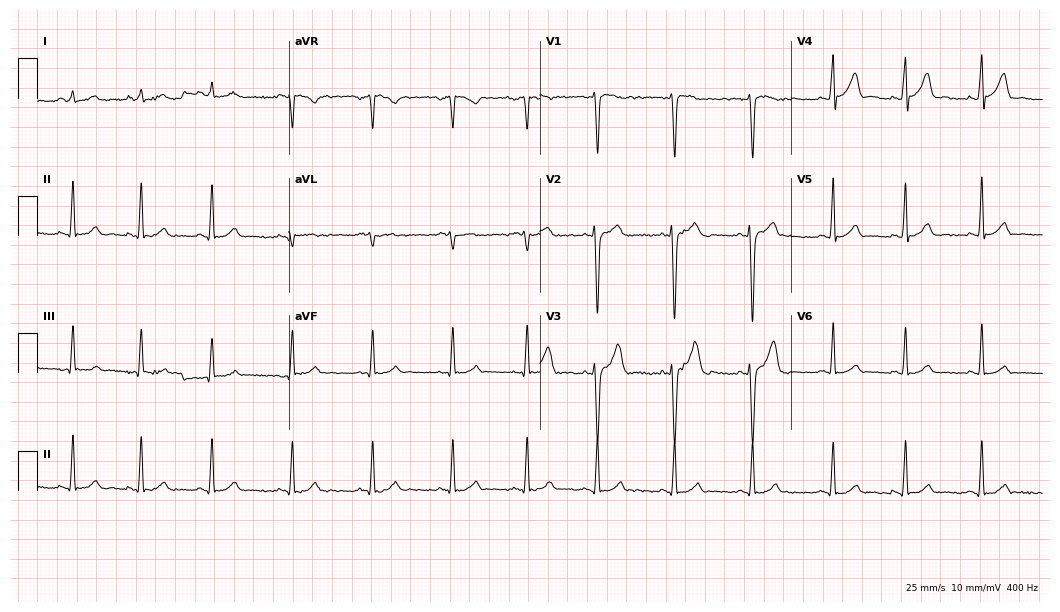
Resting 12-lead electrocardiogram. Patient: a male, 20 years old. Read as a normal ECG.